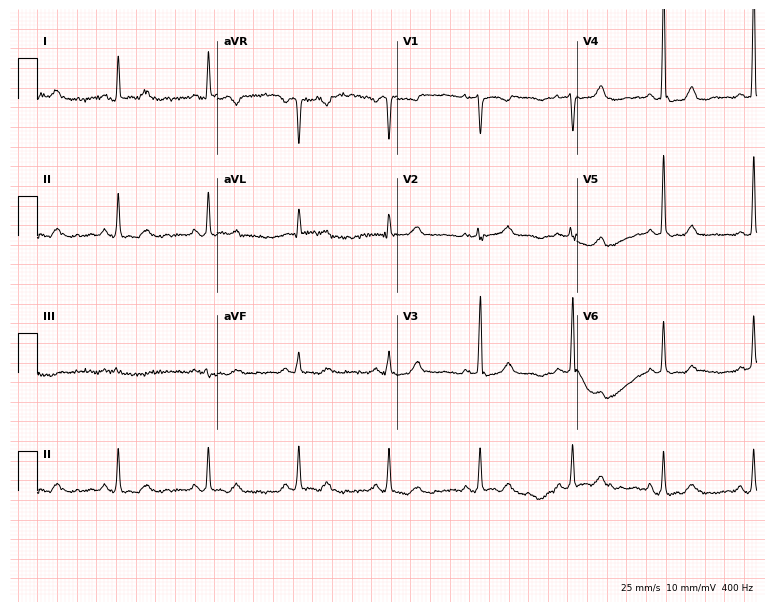
12-lead ECG from a woman, 66 years old. No first-degree AV block, right bundle branch block, left bundle branch block, sinus bradycardia, atrial fibrillation or sinus tachycardia recorded for this tracing. Other findings, if any, are not listed.